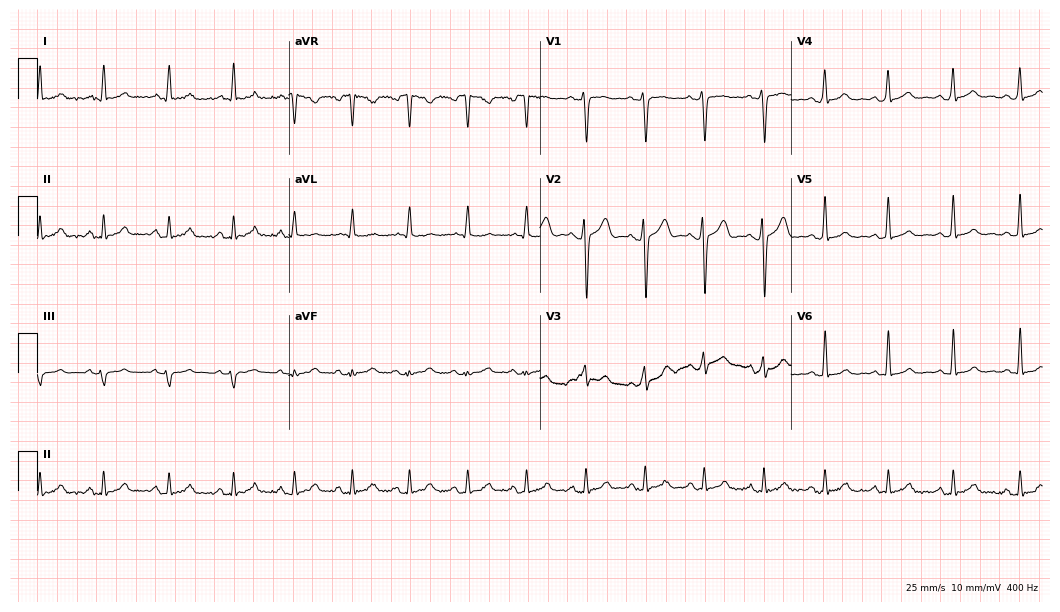
12-lead ECG from a 29-year-old male. Labelled as a normal ECG.